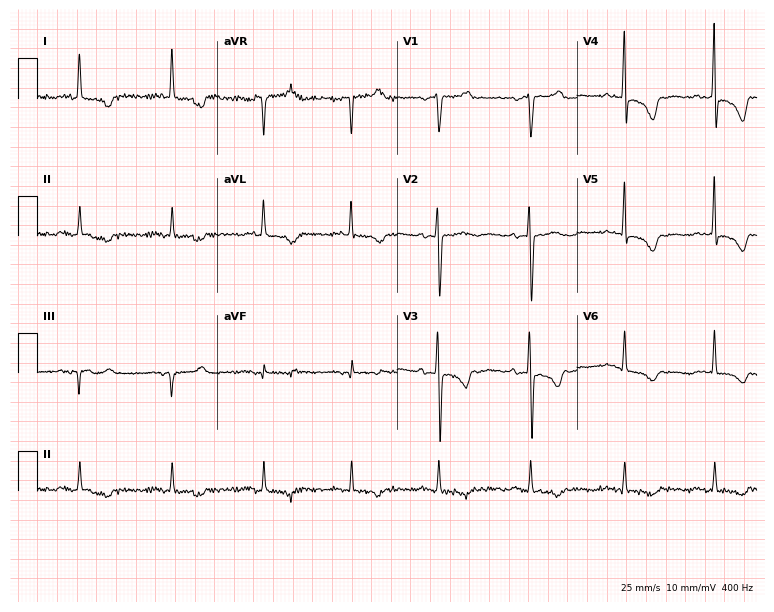
Resting 12-lead electrocardiogram. Patient: a 56-year-old female. None of these six findings is recorded: first-degree AV block, right bundle branch block (RBBB), left bundle branch block (LBBB), sinus bradycardia, atrial fibrillation (AF), sinus tachycardia.